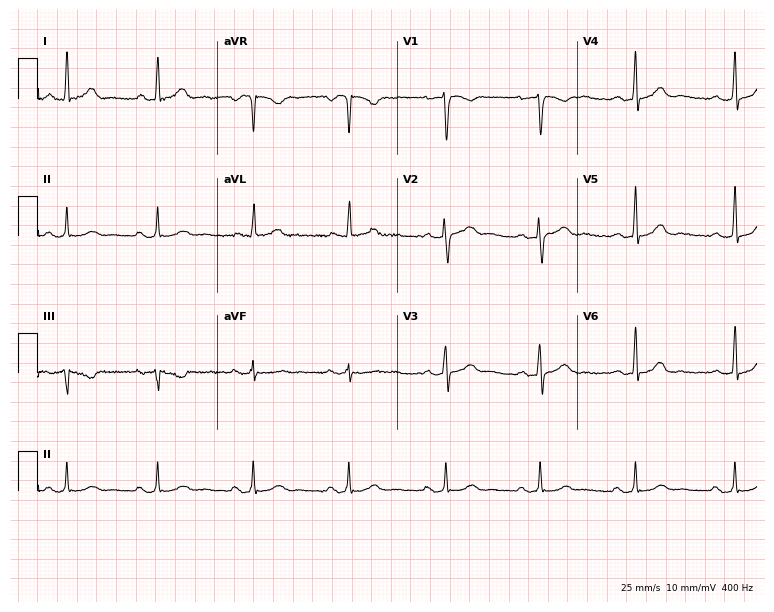
12-lead ECG from a 42-year-old female. Screened for six findings — first-degree AV block, right bundle branch block, left bundle branch block, sinus bradycardia, atrial fibrillation, sinus tachycardia — none is recorded. Findings outside these six are not listed.